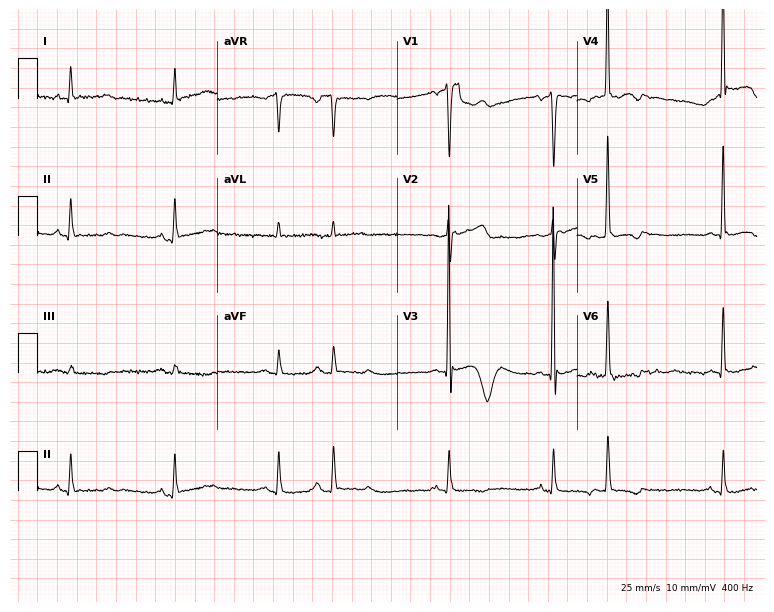
12-lead ECG (7.3-second recording at 400 Hz) from a 75-year-old male. Screened for six findings — first-degree AV block, right bundle branch block, left bundle branch block, sinus bradycardia, atrial fibrillation, sinus tachycardia — none is recorded.